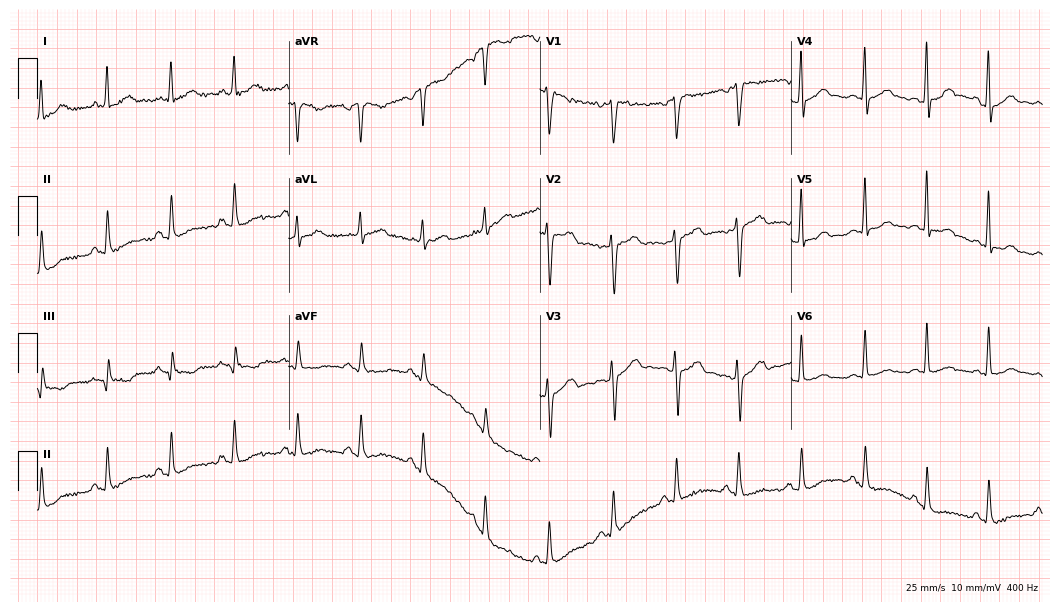
12-lead ECG from a 35-year-old female. No first-degree AV block, right bundle branch block, left bundle branch block, sinus bradycardia, atrial fibrillation or sinus tachycardia recorded for this tracing.